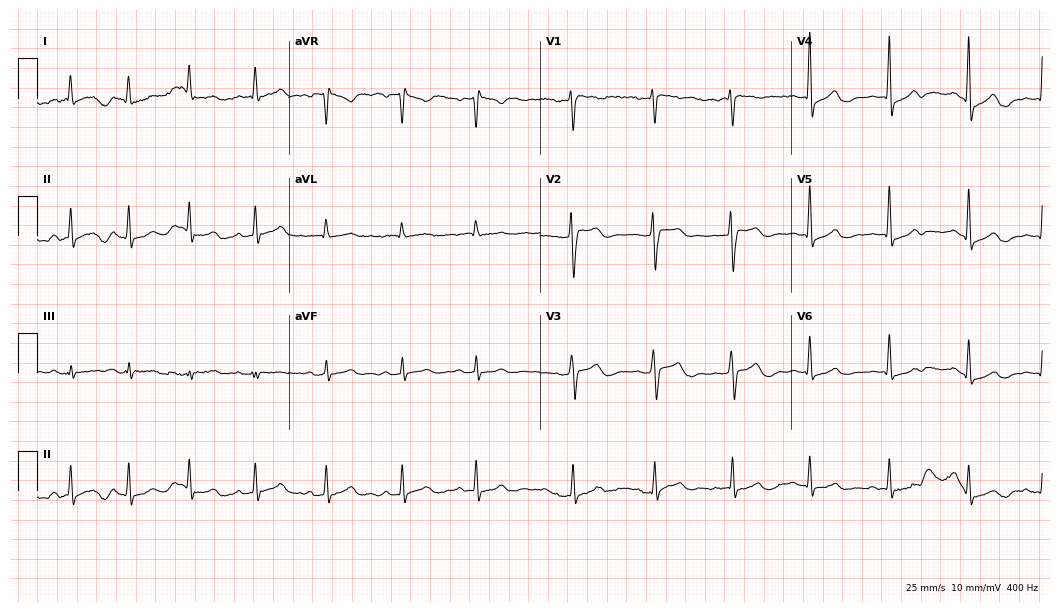
12-lead ECG from a 37-year-old female patient. Labelled as a normal ECG.